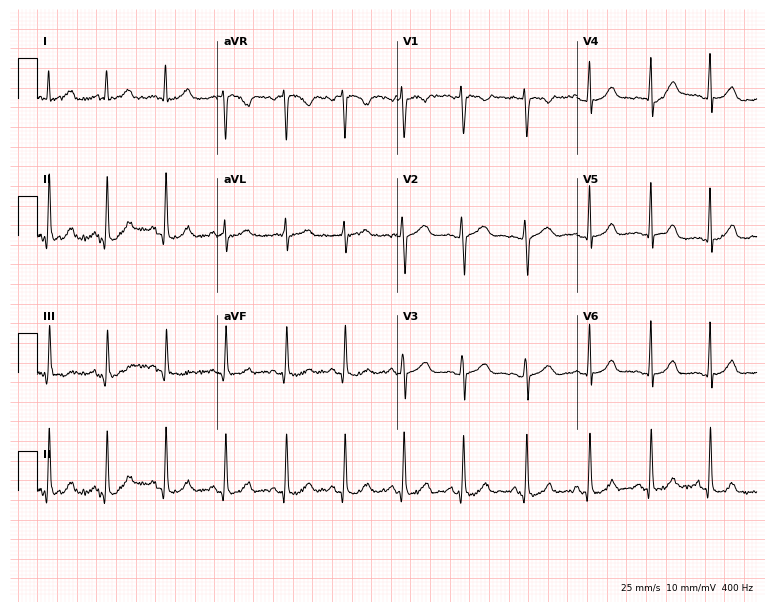
Electrocardiogram (7.3-second recording at 400 Hz), a female patient, 19 years old. Of the six screened findings (first-degree AV block, right bundle branch block, left bundle branch block, sinus bradycardia, atrial fibrillation, sinus tachycardia), none is recorded. Only these six findings were labelled.